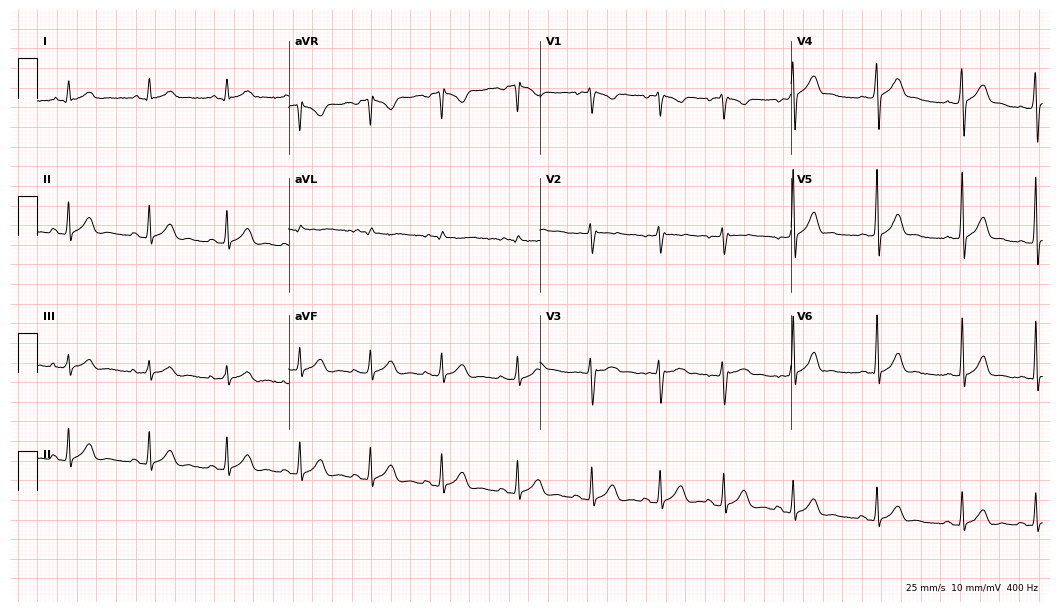
12-lead ECG from a male, 17 years old (10.2-second recording at 400 Hz). No first-degree AV block, right bundle branch block, left bundle branch block, sinus bradycardia, atrial fibrillation or sinus tachycardia recorded for this tracing. Other findings, if any, are not listed.